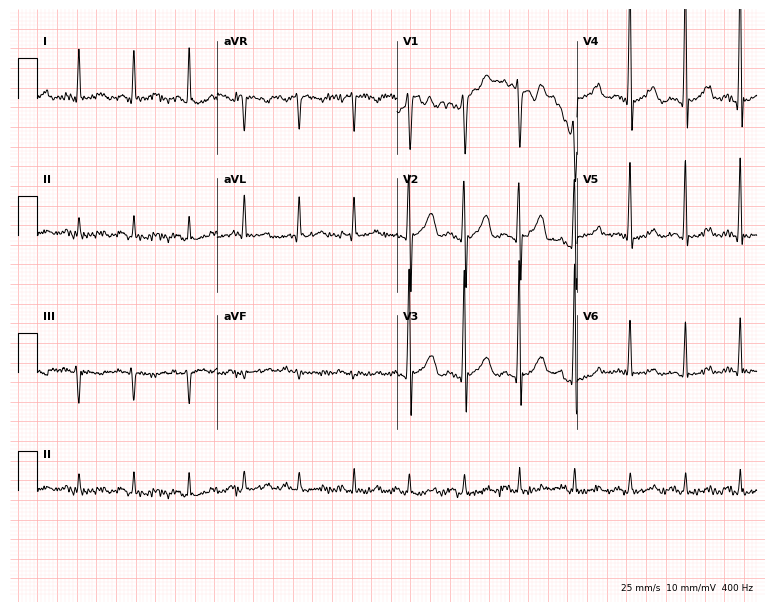
Electrocardiogram (7.3-second recording at 400 Hz), a 62-year-old male patient. Interpretation includes sinus tachycardia (a sinus rate of 100 beats per minute or more).